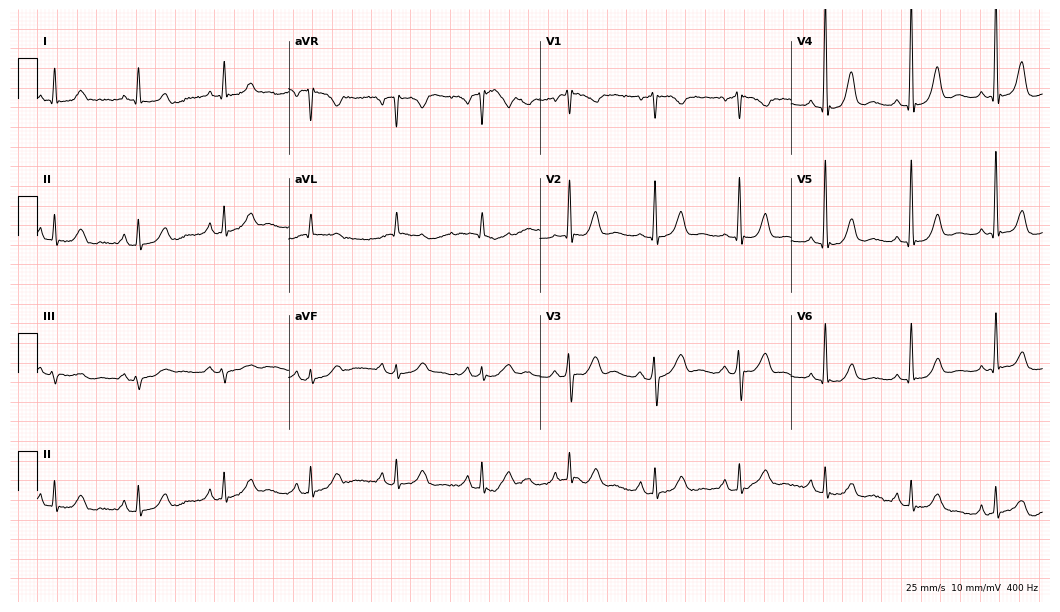
Electrocardiogram (10.2-second recording at 400 Hz), a man, 84 years old. Overall reading on record: normal ECG.